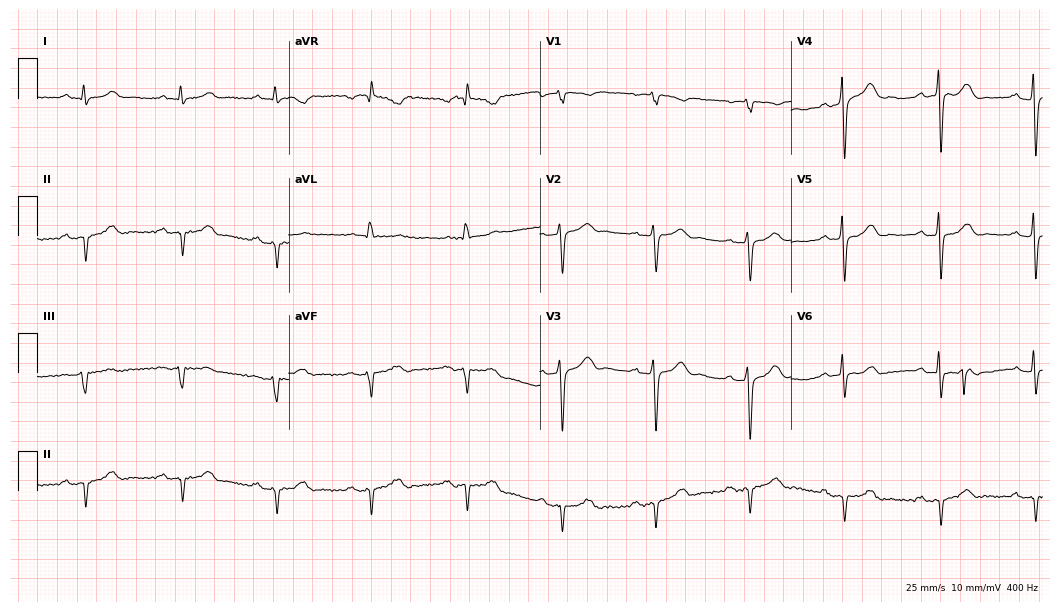
ECG — a male, 64 years old. Screened for six findings — first-degree AV block, right bundle branch block, left bundle branch block, sinus bradycardia, atrial fibrillation, sinus tachycardia — none is recorded.